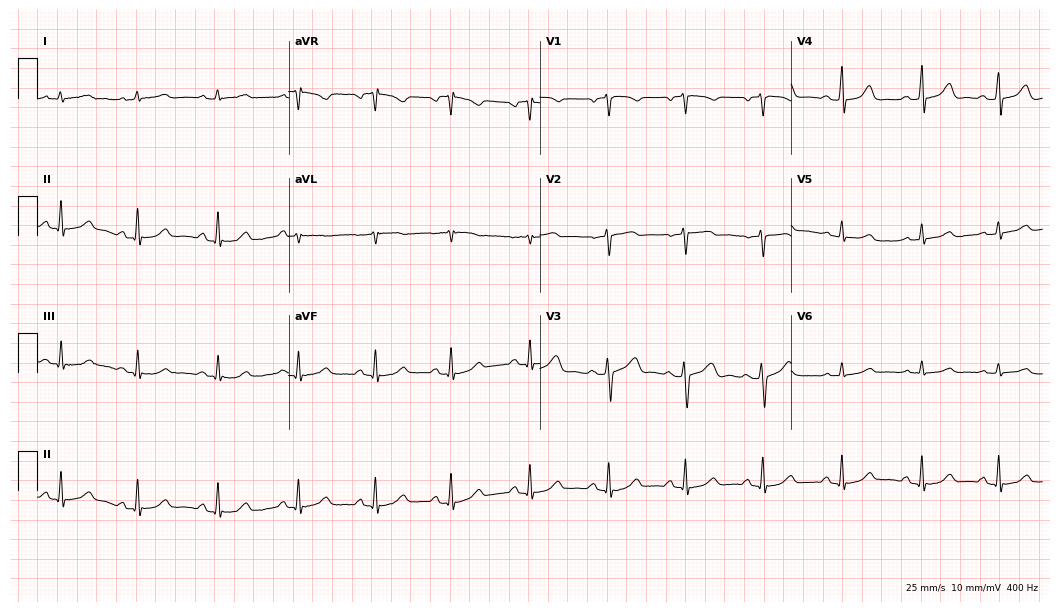
Standard 12-lead ECG recorded from a woman, 55 years old (10.2-second recording at 400 Hz). None of these six findings is recorded: first-degree AV block, right bundle branch block, left bundle branch block, sinus bradycardia, atrial fibrillation, sinus tachycardia. Other findings, if any, are not listed.